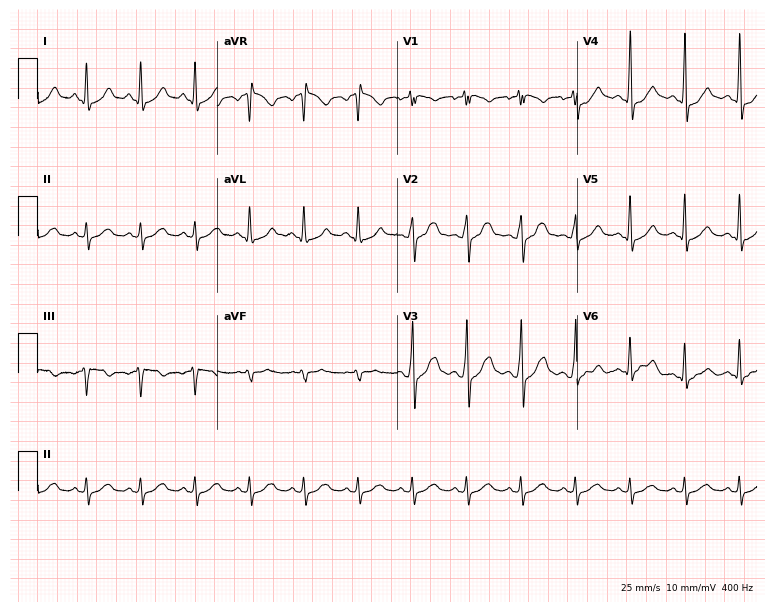
12-lead ECG from a male, 29 years old. Findings include sinus tachycardia (a sinus rate of 100 beats per minute or more).